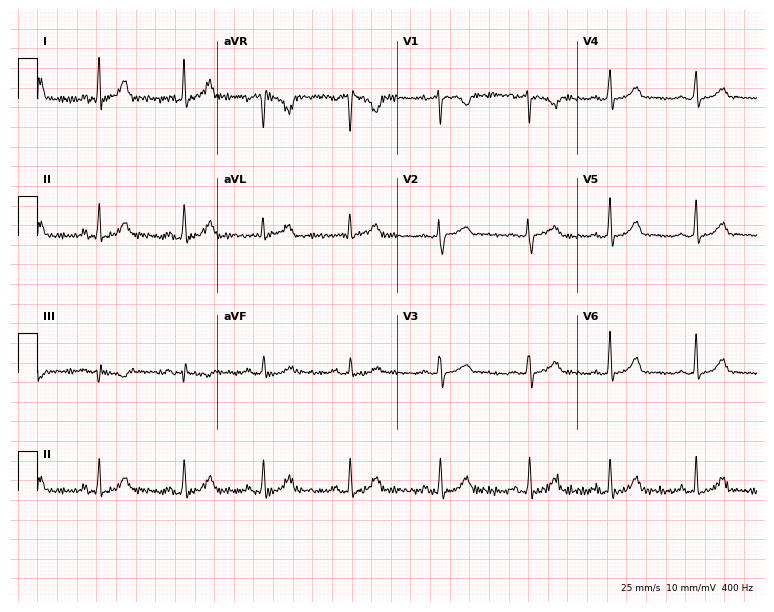
ECG (7.3-second recording at 400 Hz) — a female, 34 years old. Screened for six findings — first-degree AV block, right bundle branch block, left bundle branch block, sinus bradycardia, atrial fibrillation, sinus tachycardia — none is recorded.